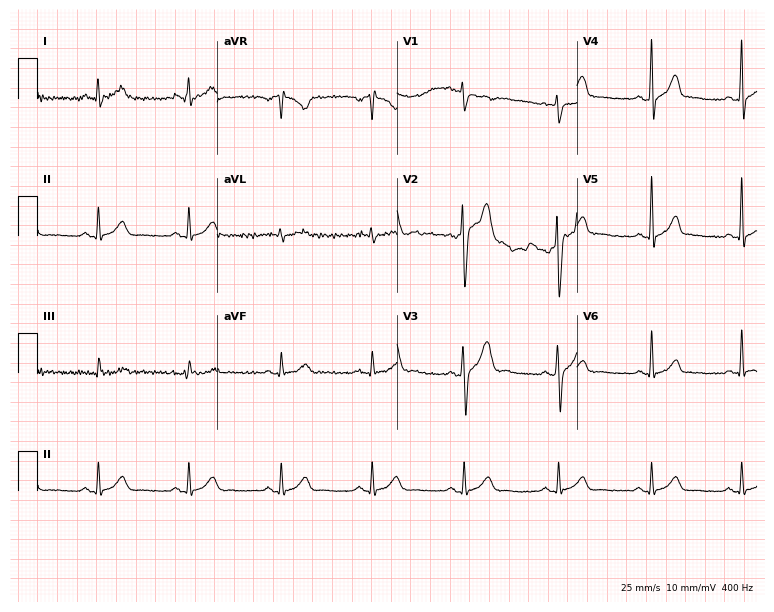
Resting 12-lead electrocardiogram. Patient: a male, 35 years old. Read as a normal ECG.